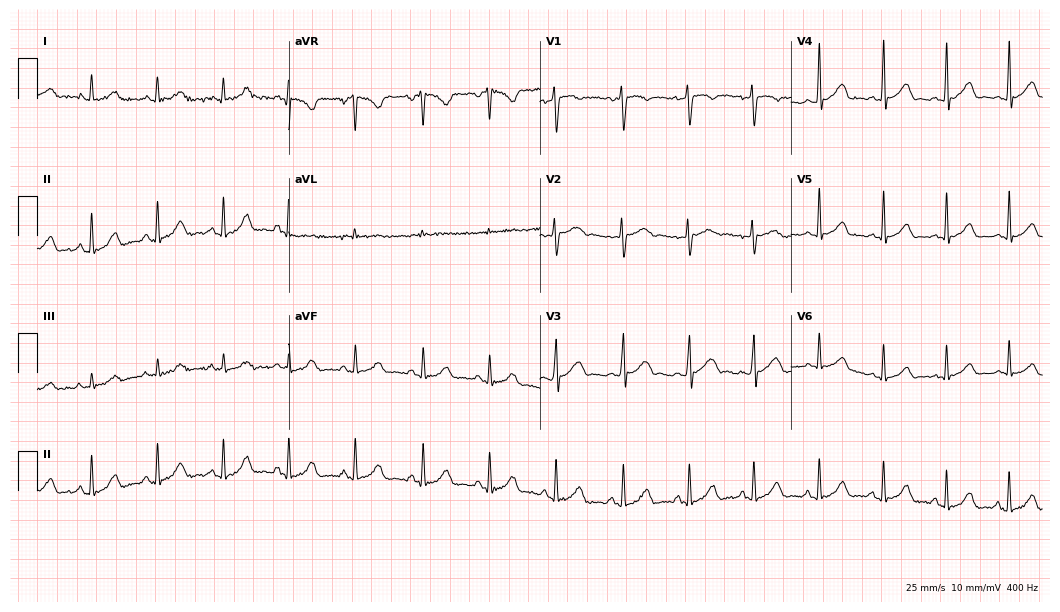
ECG (10.2-second recording at 400 Hz) — a woman, 19 years old. Labelled as a normal ECG.